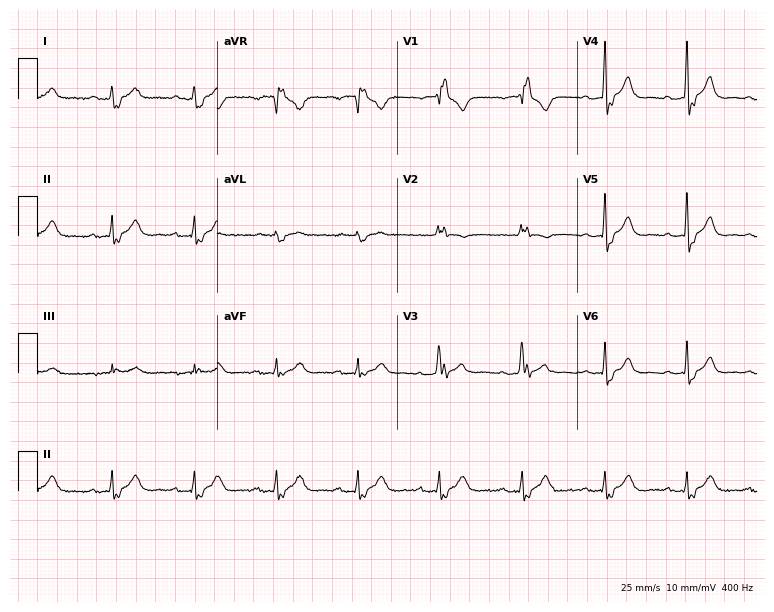
Electrocardiogram (7.3-second recording at 400 Hz), a 61-year-old man. Interpretation includes first-degree AV block, right bundle branch block.